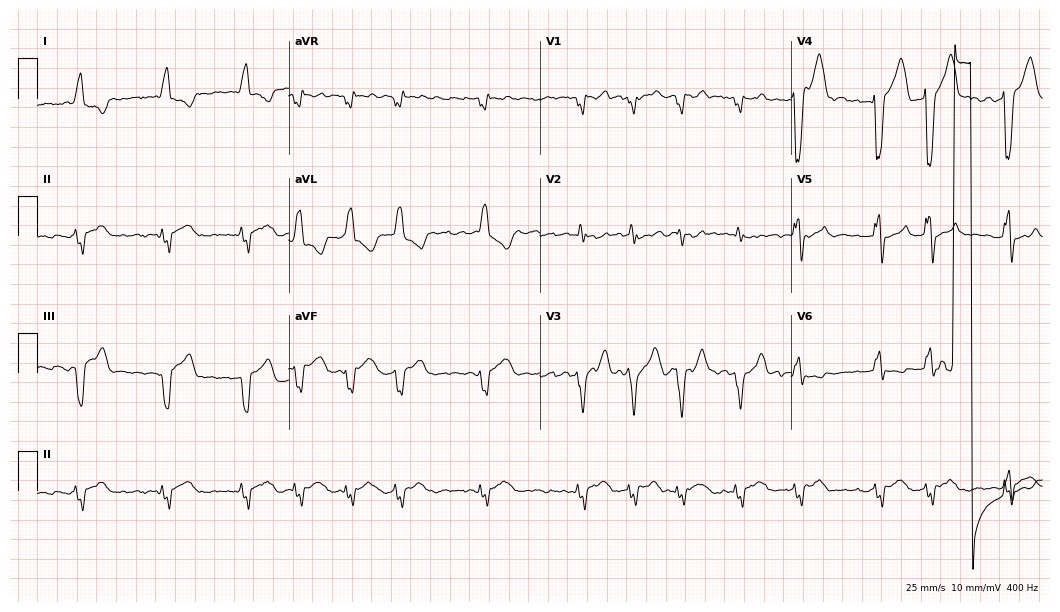
Resting 12-lead electrocardiogram (10.2-second recording at 400 Hz). Patient: a male, 62 years old. The tracing shows left bundle branch block (LBBB), atrial fibrillation (AF).